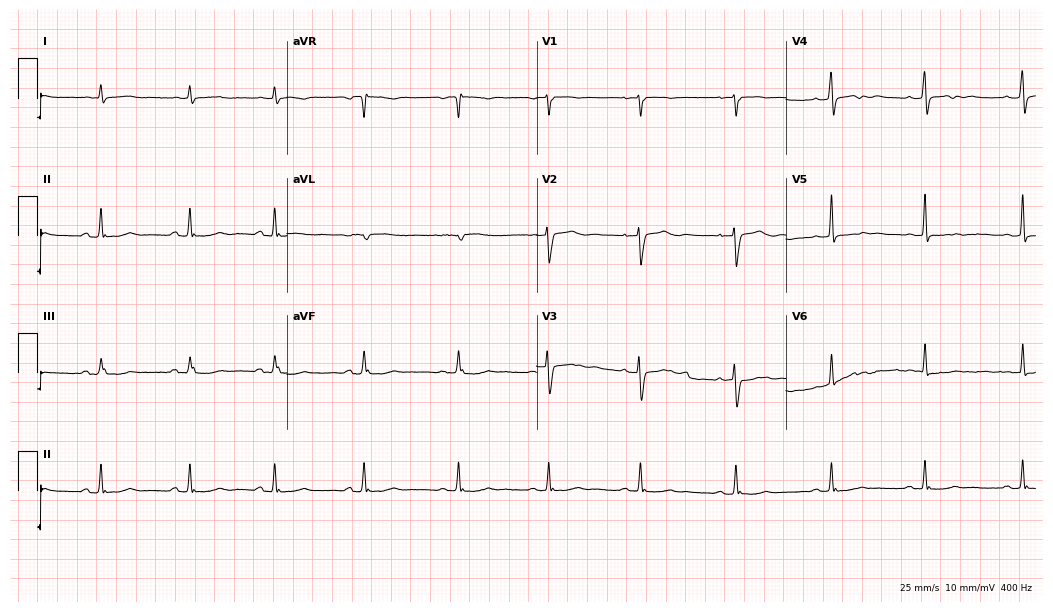
ECG (10.2-second recording at 400 Hz) — a 37-year-old female patient. Screened for six findings — first-degree AV block, right bundle branch block, left bundle branch block, sinus bradycardia, atrial fibrillation, sinus tachycardia — none is recorded. Other findings, if any, are not listed.